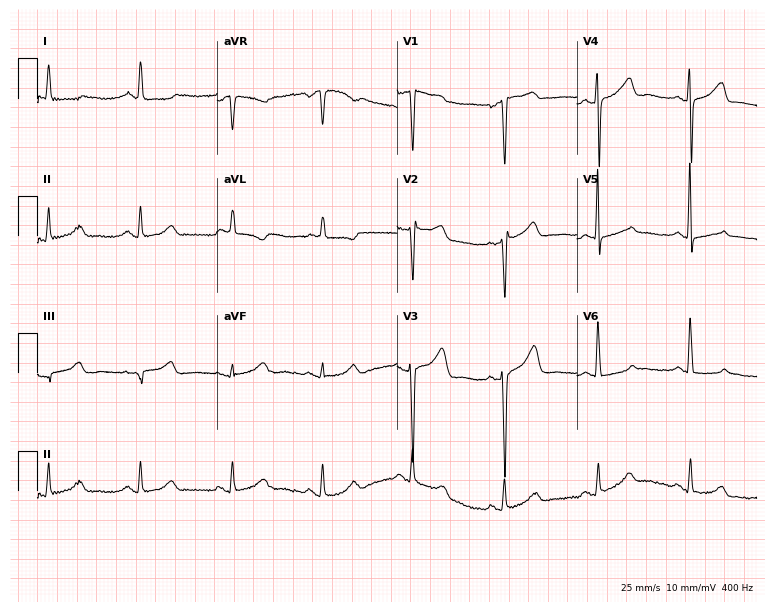
12-lead ECG (7.3-second recording at 400 Hz) from a 51-year-old woman. Screened for six findings — first-degree AV block, right bundle branch block, left bundle branch block, sinus bradycardia, atrial fibrillation, sinus tachycardia — none is recorded.